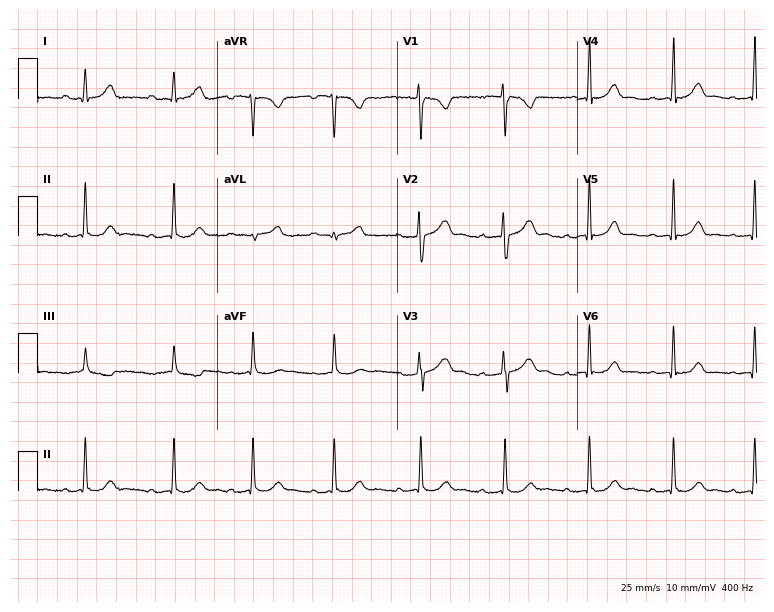
Electrocardiogram (7.3-second recording at 400 Hz), a 29-year-old woman. Overall reading on record: normal ECG.